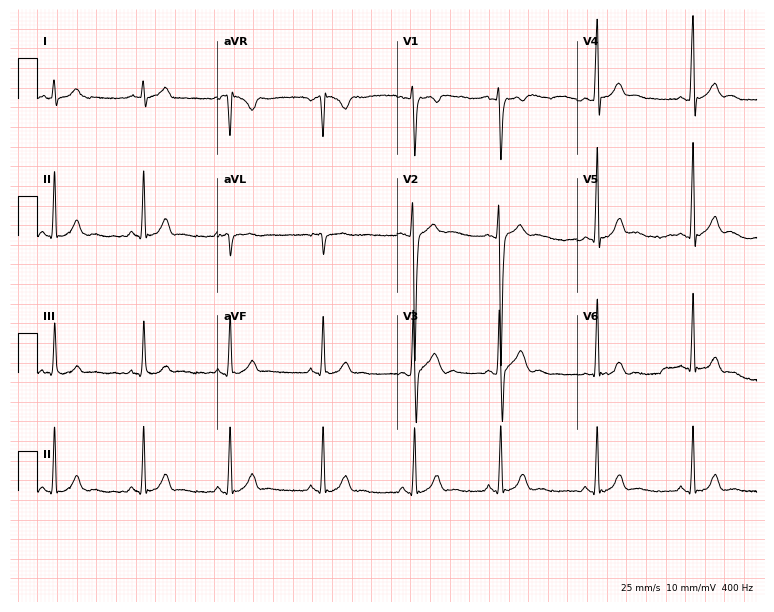
12-lead ECG (7.3-second recording at 400 Hz) from a 17-year-old male. Screened for six findings — first-degree AV block, right bundle branch block, left bundle branch block, sinus bradycardia, atrial fibrillation, sinus tachycardia — none is recorded.